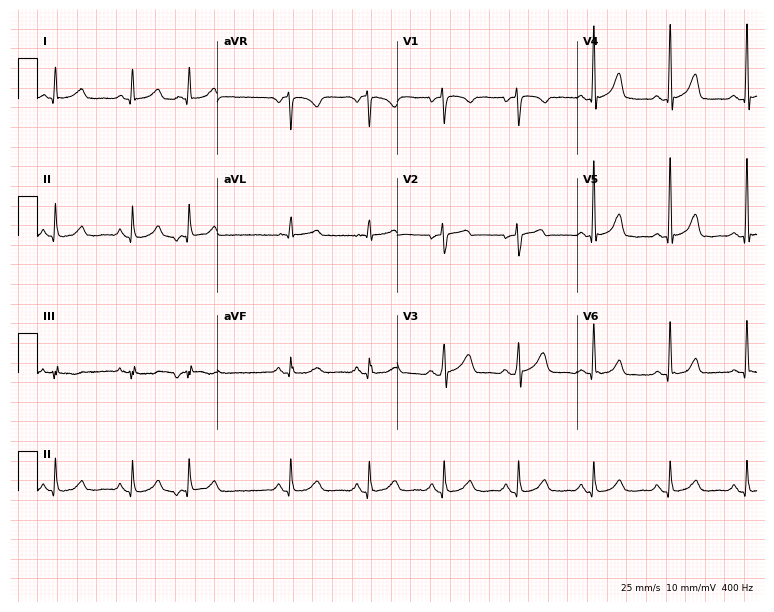
12-lead ECG from a 48-year-old female patient (7.3-second recording at 400 Hz). Recorded interpretation: within normal limits.